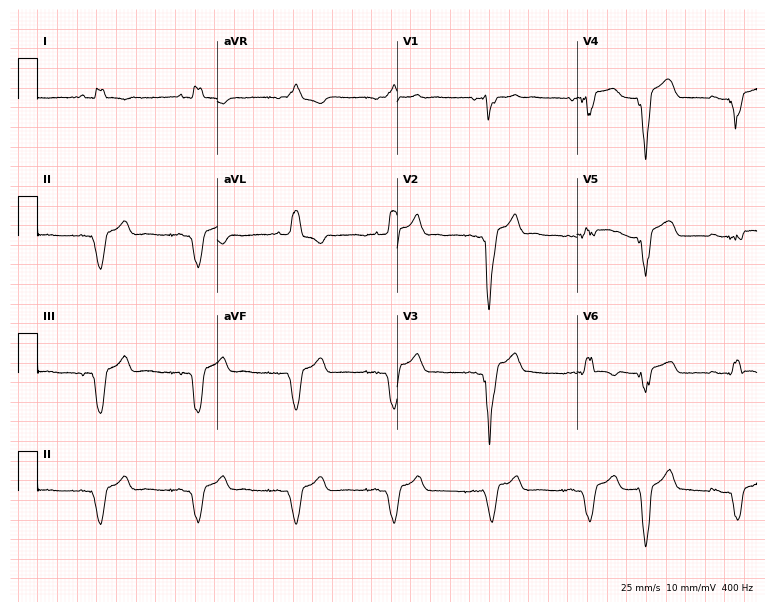
Electrocardiogram, a man, 77 years old. Interpretation includes left bundle branch block.